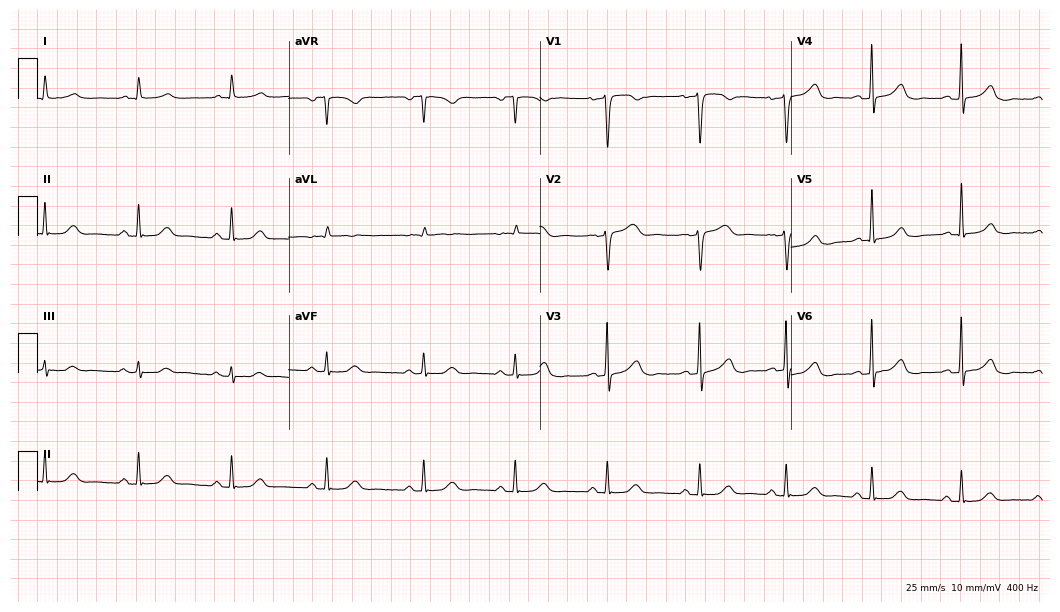
12-lead ECG from a 73-year-old female patient. Recorded interpretation: within normal limits.